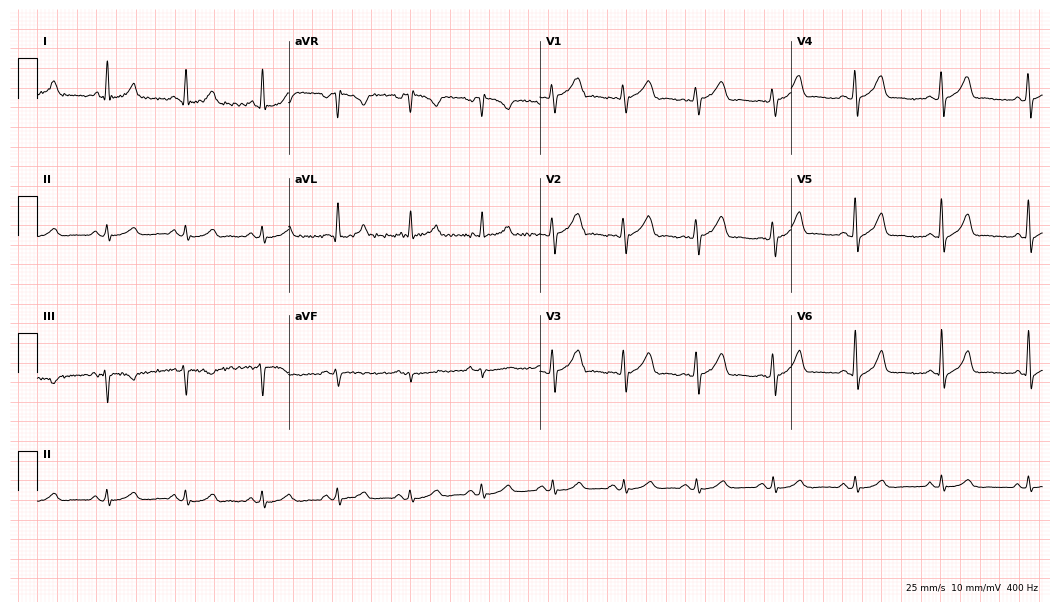
12-lead ECG from a male patient, 48 years old. Recorded interpretation: within normal limits.